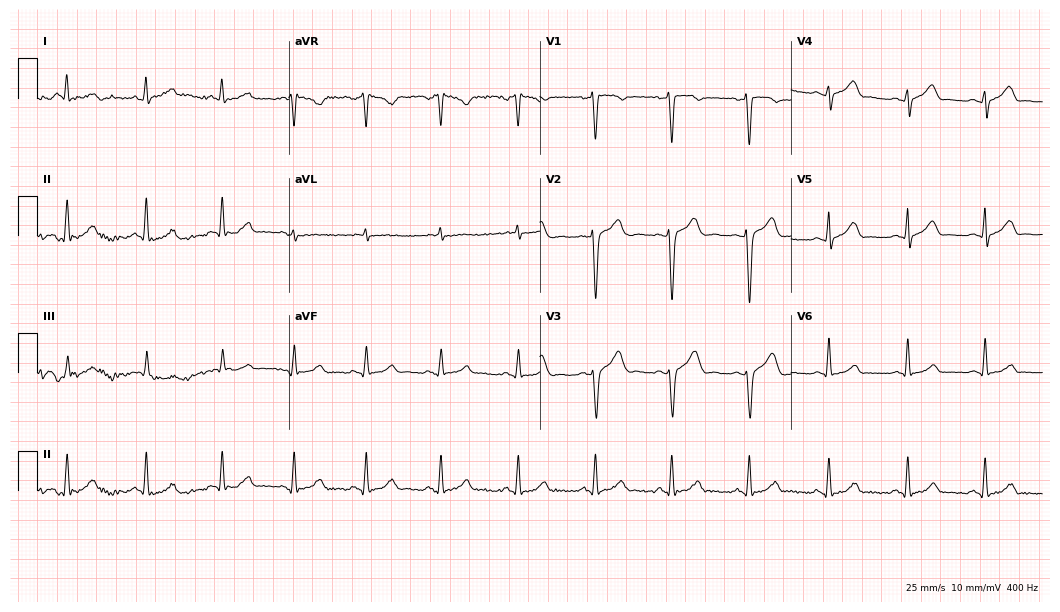
Electrocardiogram, a male, 47 years old. Of the six screened findings (first-degree AV block, right bundle branch block, left bundle branch block, sinus bradycardia, atrial fibrillation, sinus tachycardia), none is recorded. Other findings, if any, are not listed.